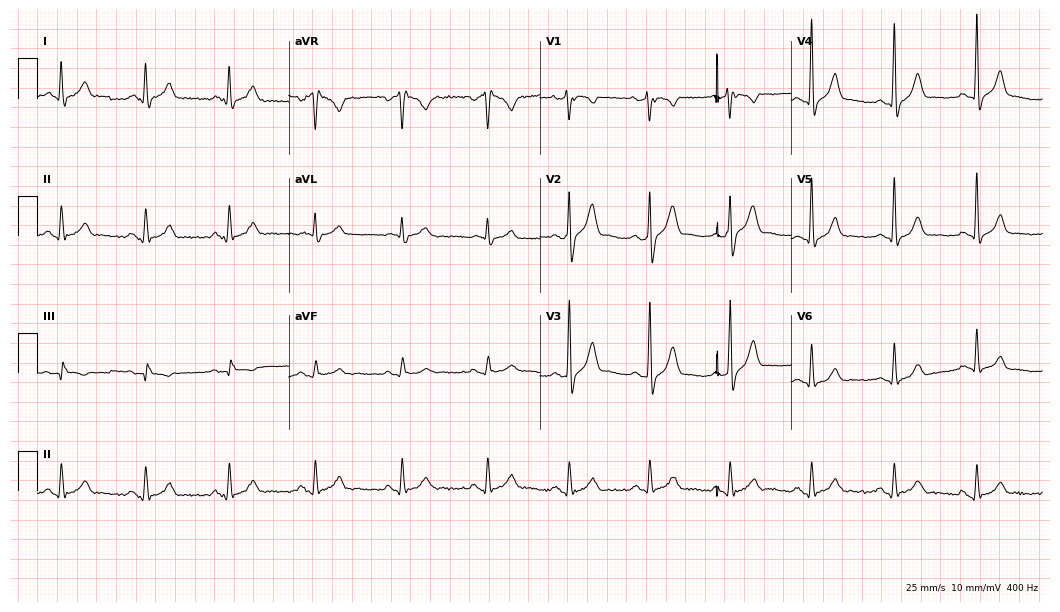
Electrocardiogram (10.2-second recording at 400 Hz), a 58-year-old male. Of the six screened findings (first-degree AV block, right bundle branch block, left bundle branch block, sinus bradycardia, atrial fibrillation, sinus tachycardia), none is recorded. Other findings, if any, are not listed.